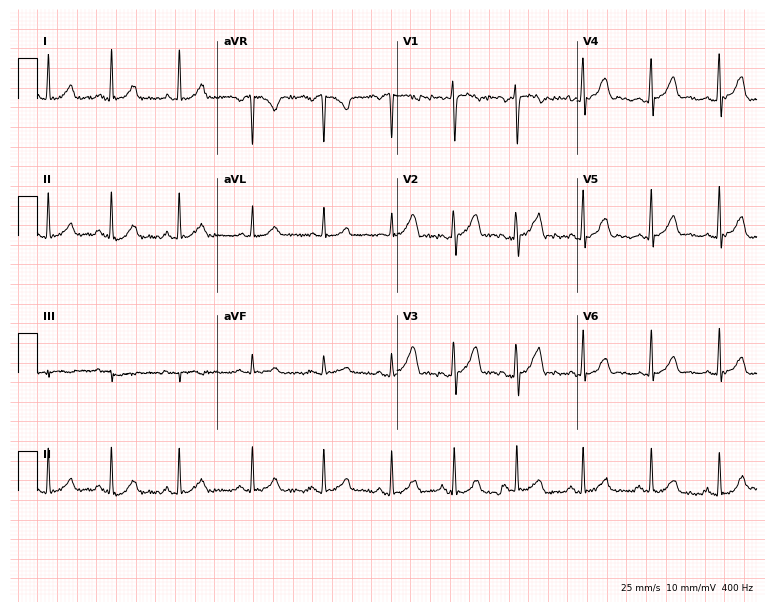
Standard 12-lead ECG recorded from a male patient, 17 years old. Read as a normal ECG.